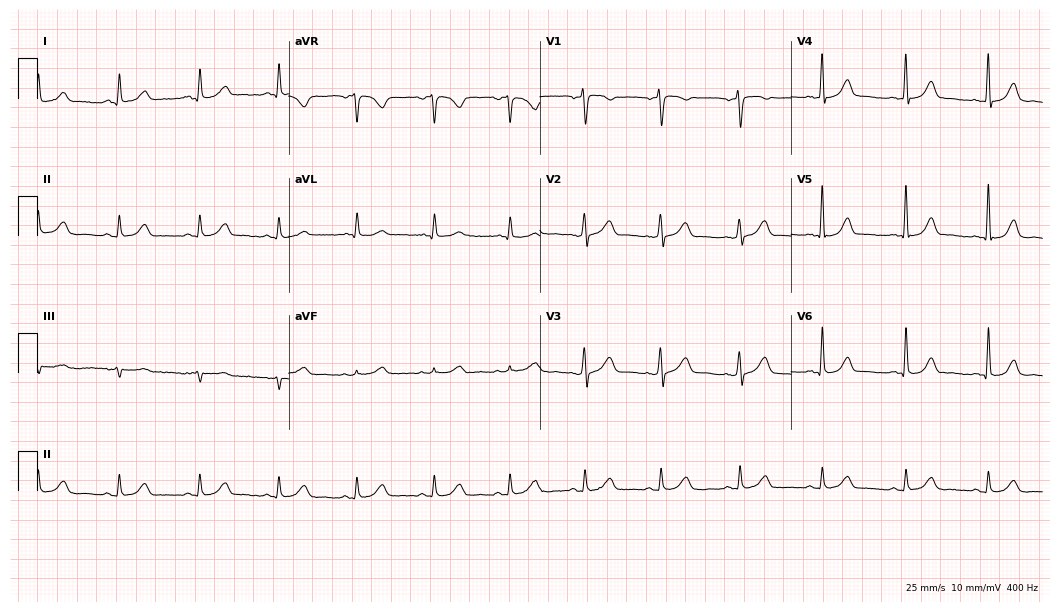
12-lead ECG (10.2-second recording at 400 Hz) from a woman, 58 years old. Labelled as a normal ECG.